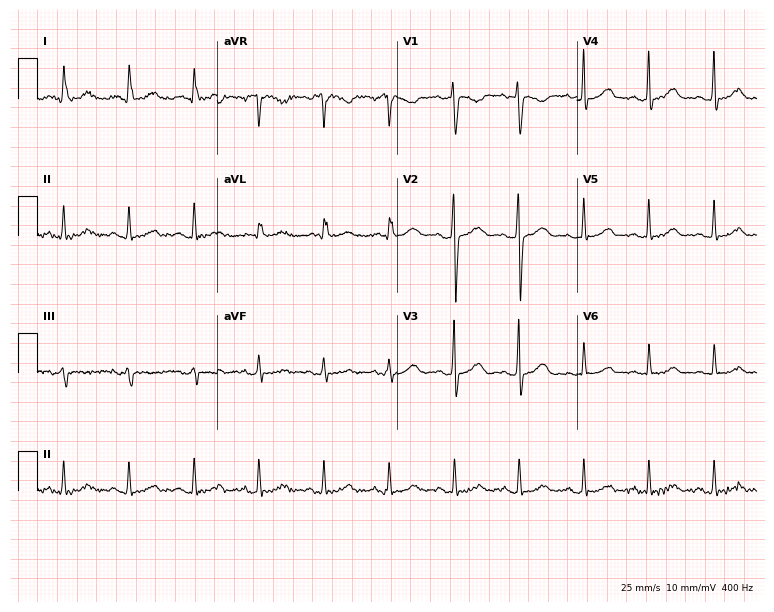
Standard 12-lead ECG recorded from a female, 33 years old. None of these six findings is recorded: first-degree AV block, right bundle branch block, left bundle branch block, sinus bradycardia, atrial fibrillation, sinus tachycardia.